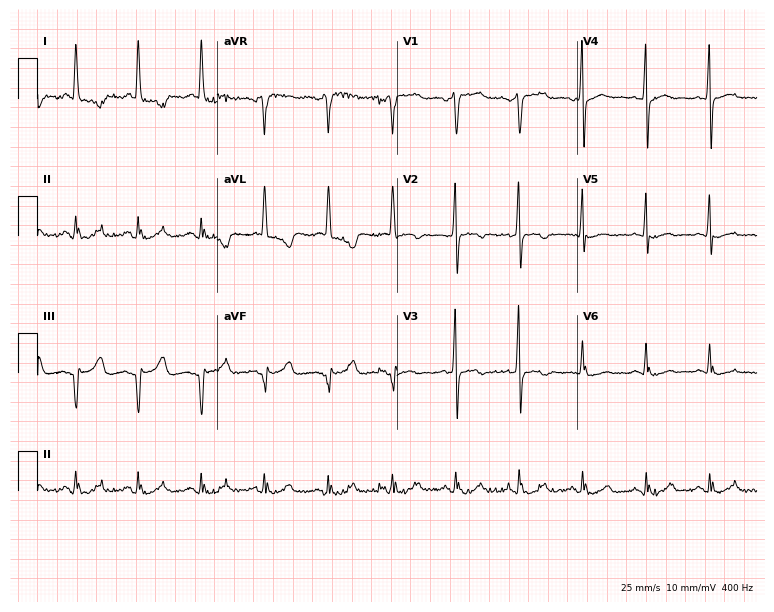
Standard 12-lead ECG recorded from a 70-year-old female (7.3-second recording at 400 Hz). None of these six findings is recorded: first-degree AV block, right bundle branch block, left bundle branch block, sinus bradycardia, atrial fibrillation, sinus tachycardia. Only these six findings were labelled.